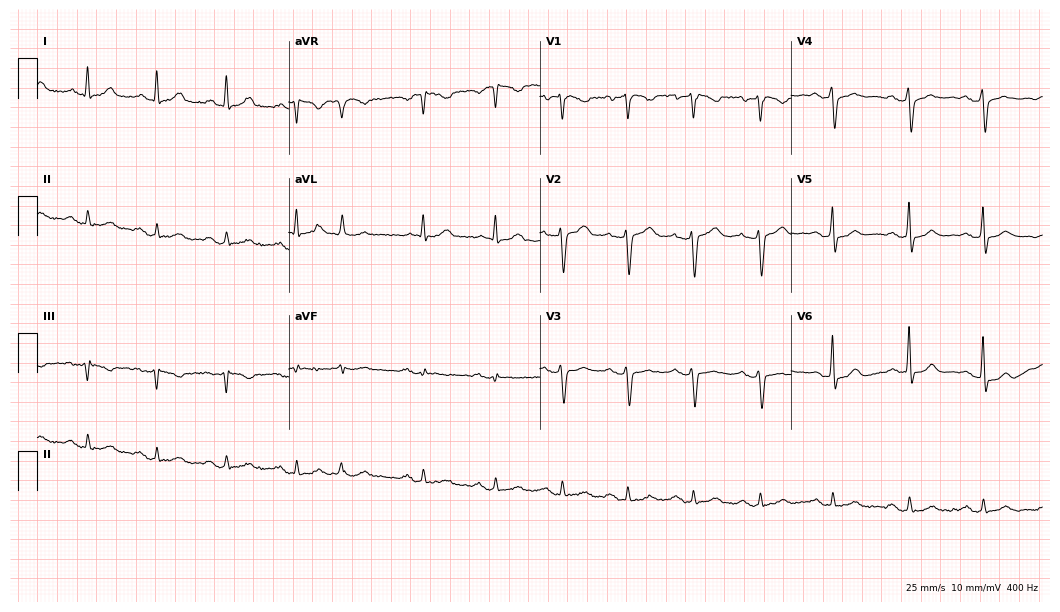
Resting 12-lead electrocardiogram (10.2-second recording at 400 Hz). Patient: a 64-year-old male. None of these six findings is recorded: first-degree AV block, right bundle branch block, left bundle branch block, sinus bradycardia, atrial fibrillation, sinus tachycardia. Only these six findings were labelled.